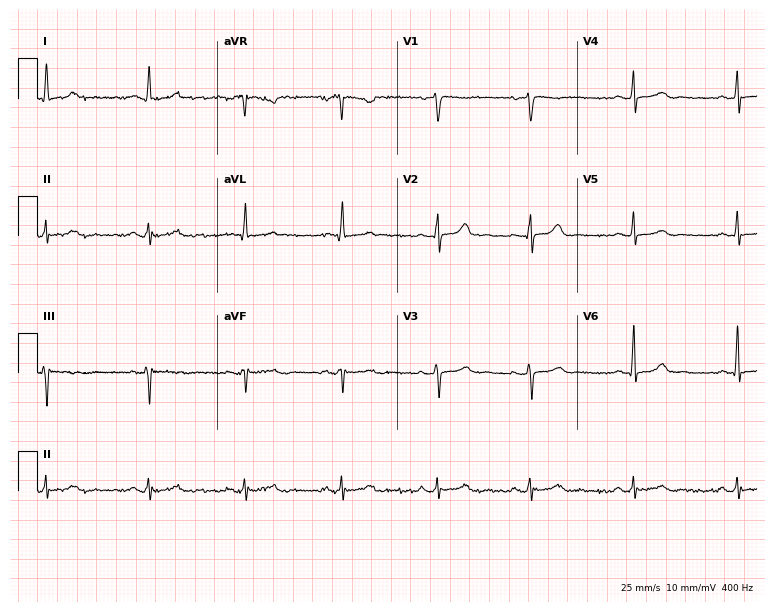
Resting 12-lead electrocardiogram (7.3-second recording at 400 Hz). Patient: a woman, 44 years old. Read as a normal ECG.